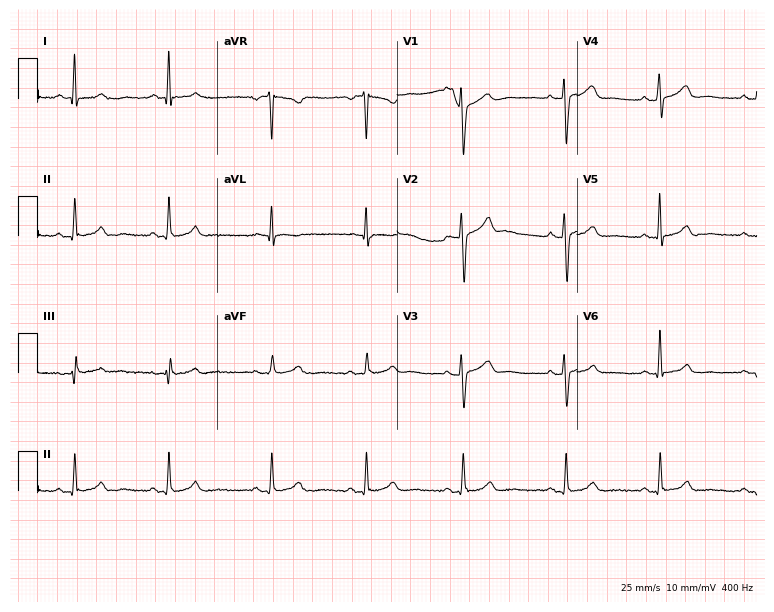
12-lead ECG from a 38-year-old woman. Labelled as a normal ECG.